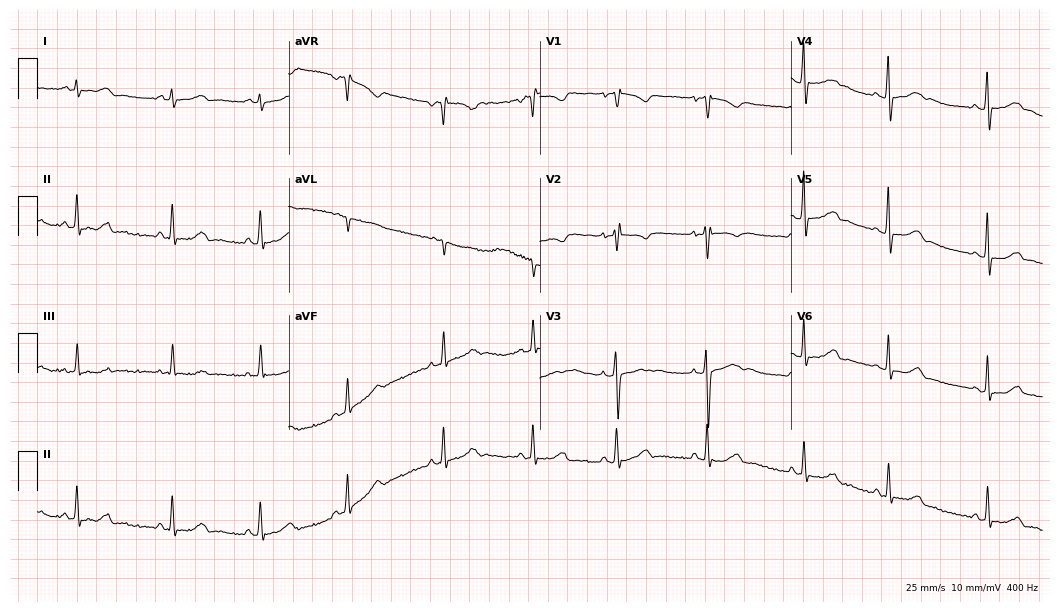
Resting 12-lead electrocardiogram. Patient: a woman, 18 years old. None of these six findings is recorded: first-degree AV block, right bundle branch block, left bundle branch block, sinus bradycardia, atrial fibrillation, sinus tachycardia. Other findings, if any, are not listed.